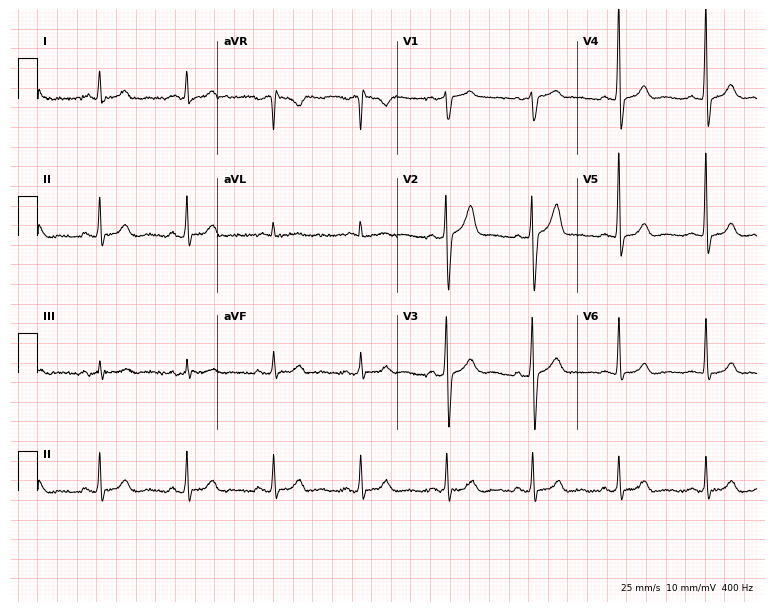
Electrocardiogram, a male patient, 44 years old. Overall reading on record: normal ECG.